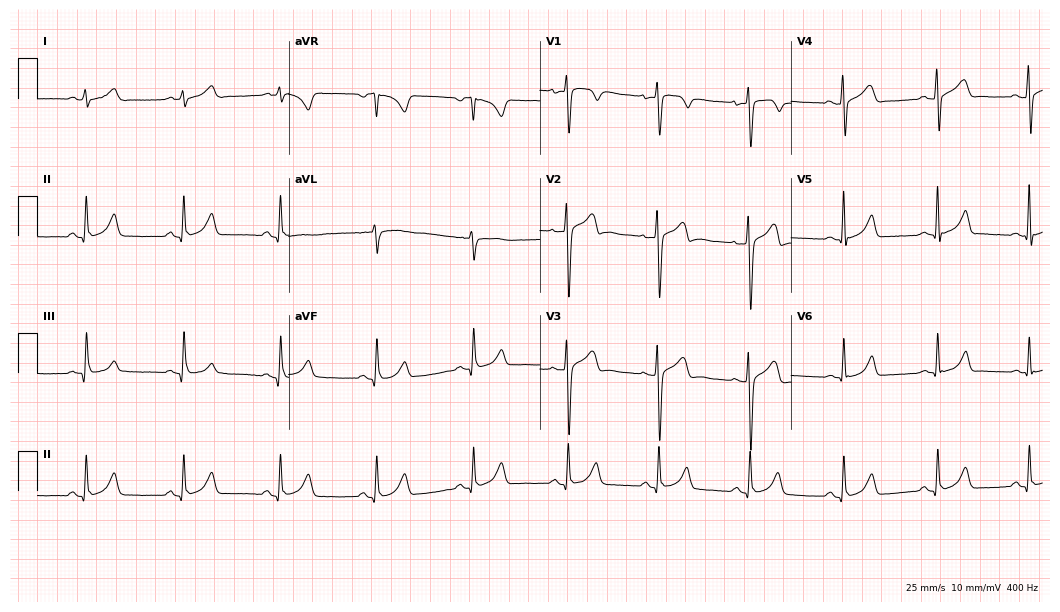
Standard 12-lead ECG recorded from a man, 27 years old. Read as a normal ECG.